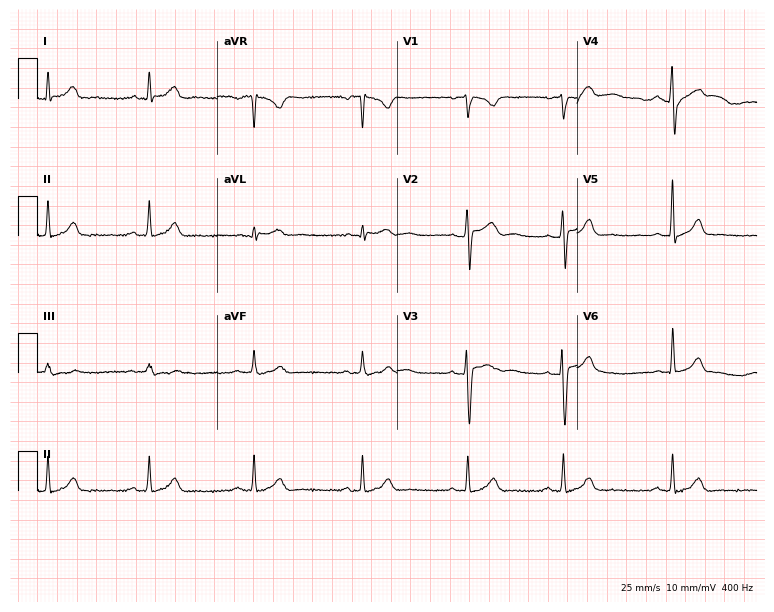
Resting 12-lead electrocardiogram (7.3-second recording at 400 Hz). Patient: a female, 27 years old. Read as a normal ECG.